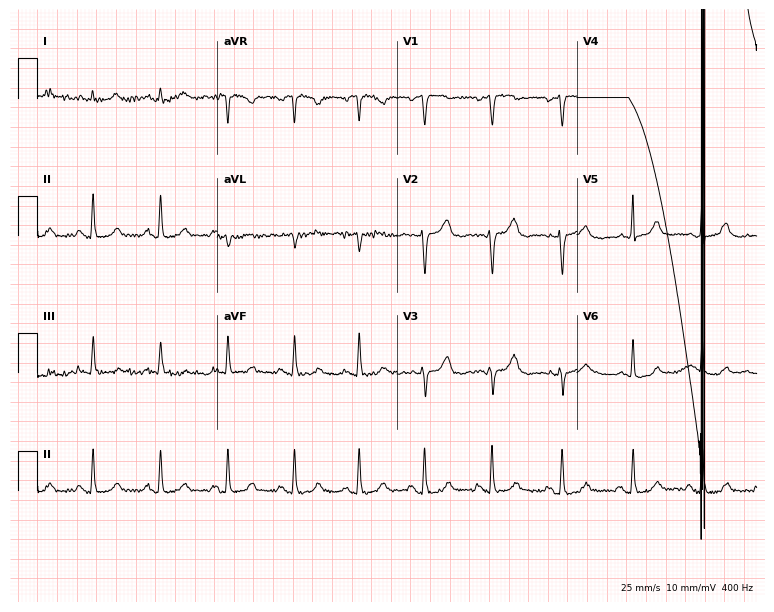
ECG — an 84-year-old female patient. Screened for six findings — first-degree AV block, right bundle branch block, left bundle branch block, sinus bradycardia, atrial fibrillation, sinus tachycardia — none is recorded. Findings outside these six are not listed.